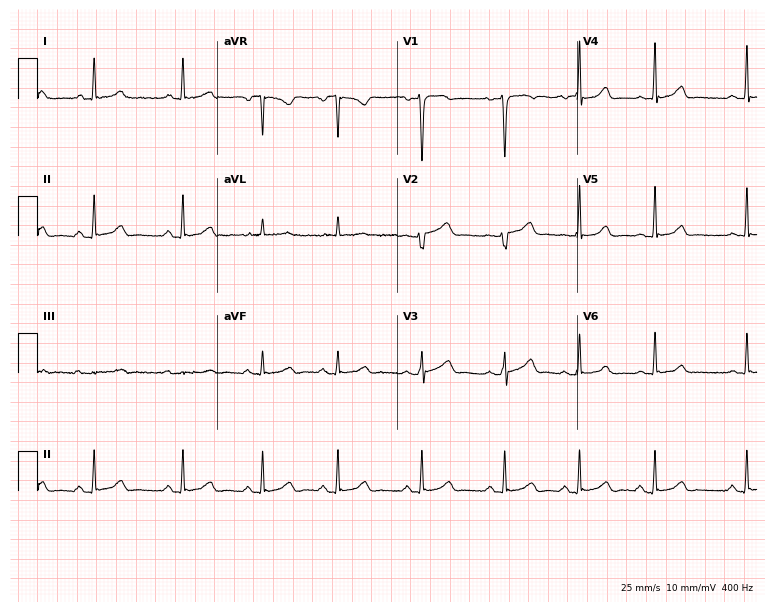
Standard 12-lead ECG recorded from a female, 26 years old (7.3-second recording at 400 Hz). Read as a normal ECG.